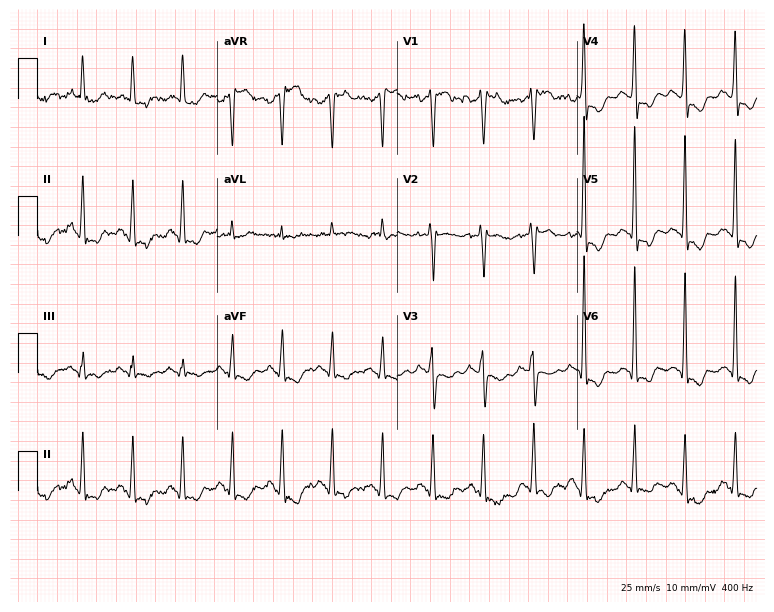
Electrocardiogram, a 56-year-old female. Interpretation includes sinus tachycardia (a sinus rate of 100 beats per minute or more).